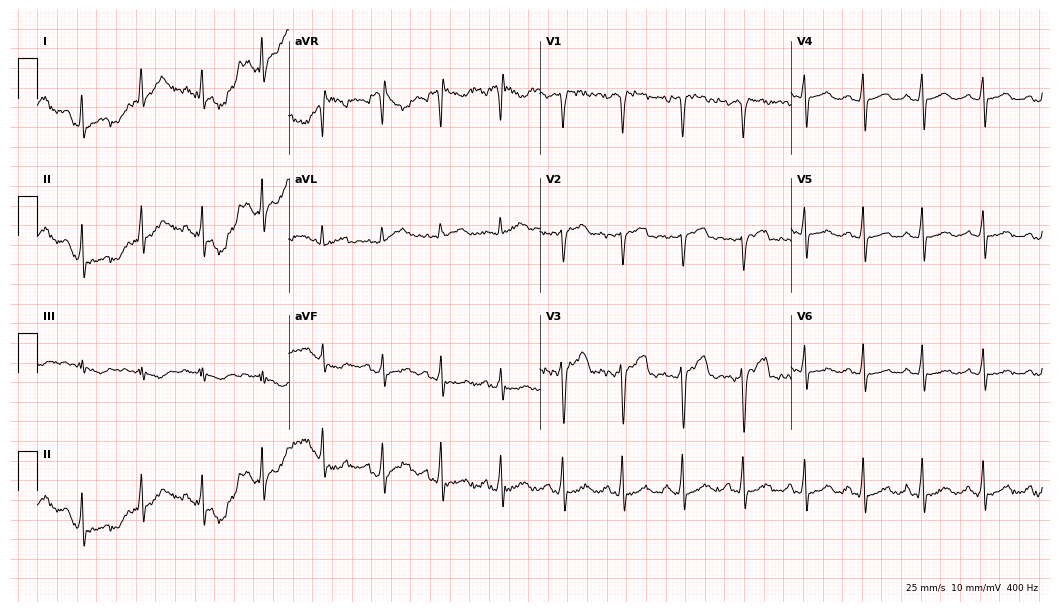
12-lead ECG from a 29-year-old woman. Labelled as a normal ECG.